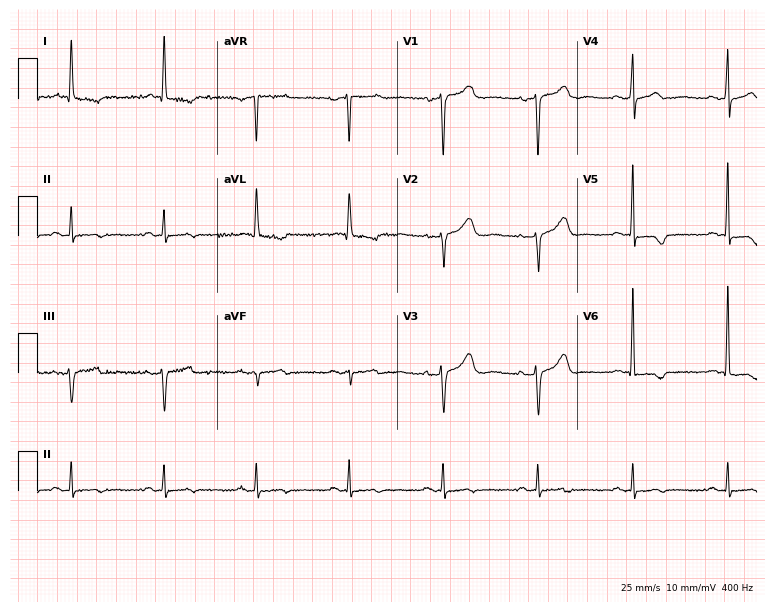
12-lead ECG from a 72-year-old female patient (7.3-second recording at 400 Hz). No first-degree AV block, right bundle branch block, left bundle branch block, sinus bradycardia, atrial fibrillation or sinus tachycardia recorded for this tracing.